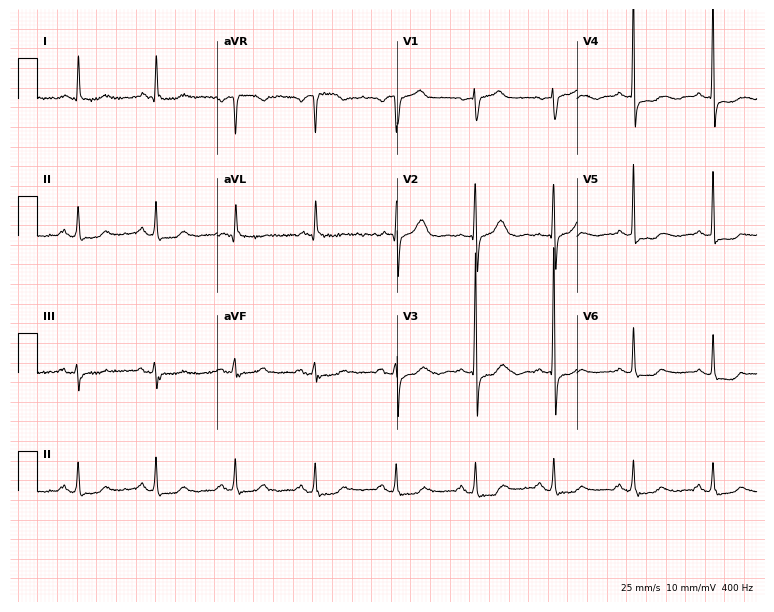
ECG (7.3-second recording at 400 Hz) — a woman, 52 years old. Screened for six findings — first-degree AV block, right bundle branch block, left bundle branch block, sinus bradycardia, atrial fibrillation, sinus tachycardia — none is recorded. Other findings, if any, are not listed.